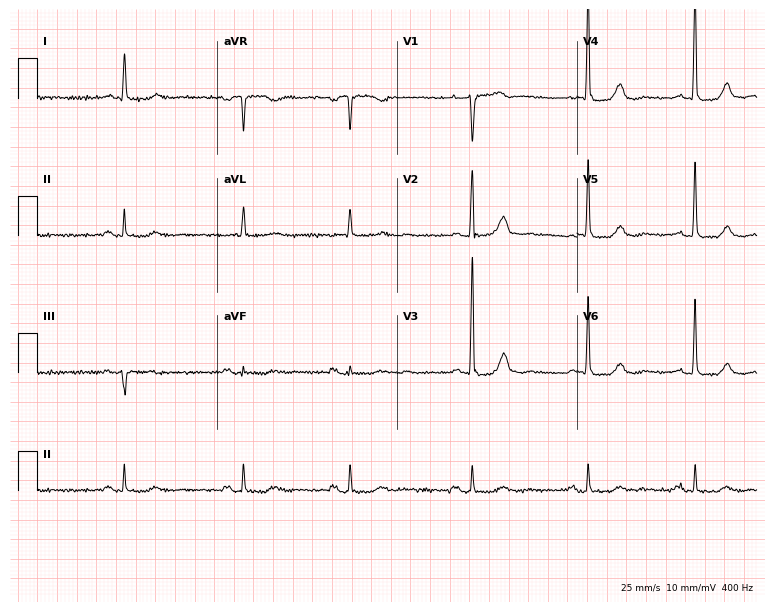
Standard 12-lead ECG recorded from a 50-year-old female patient. None of these six findings is recorded: first-degree AV block, right bundle branch block, left bundle branch block, sinus bradycardia, atrial fibrillation, sinus tachycardia. Findings outside these six are not listed.